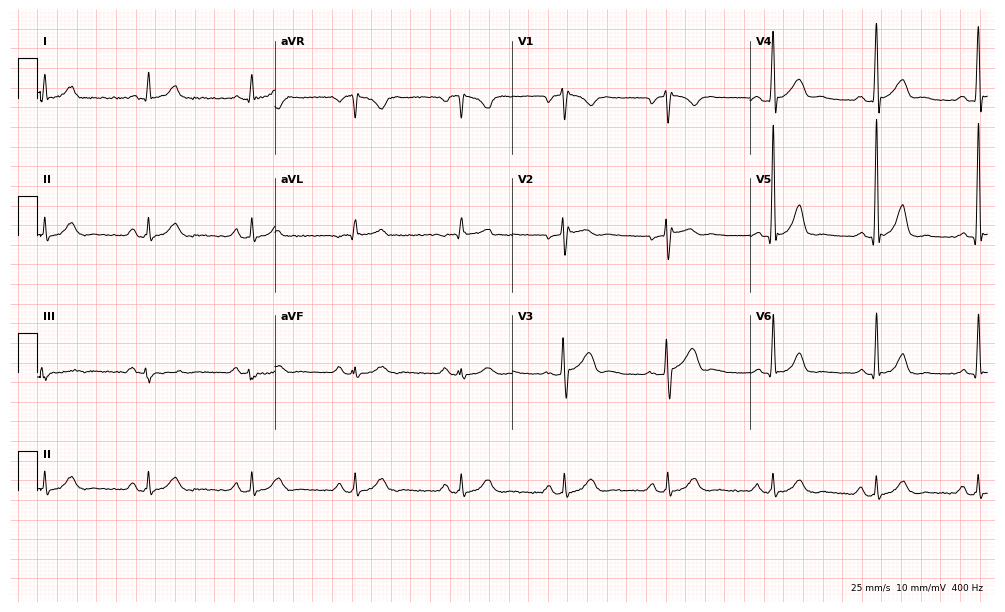
Electrocardiogram (9.7-second recording at 400 Hz), a 59-year-old man. Of the six screened findings (first-degree AV block, right bundle branch block, left bundle branch block, sinus bradycardia, atrial fibrillation, sinus tachycardia), none is recorded. Findings outside these six are not listed.